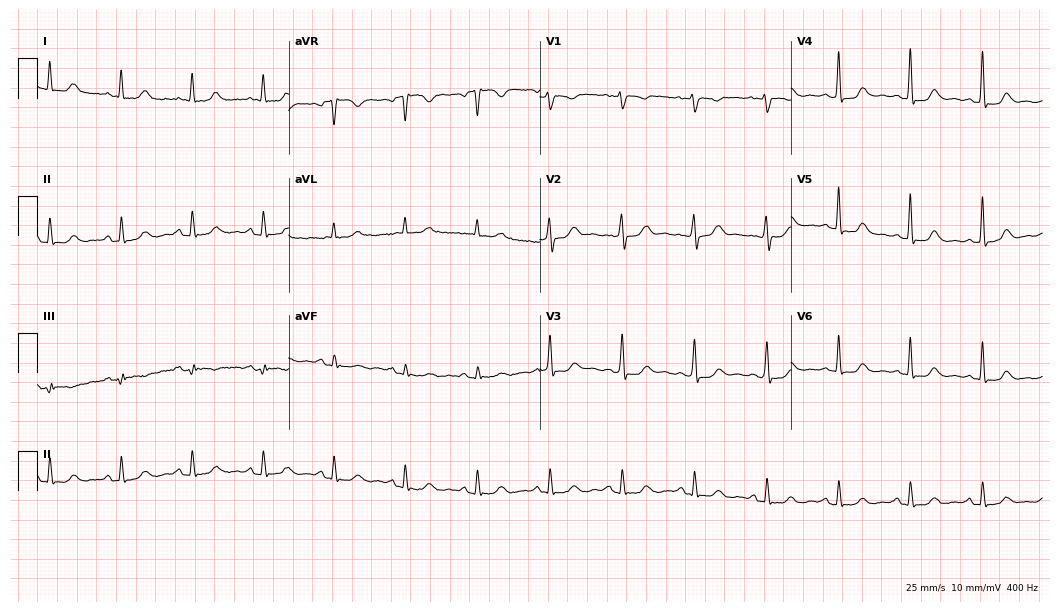
12-lead ECG from a 45-year-old female patient (10.2-second recording at 400 Hz). Recorded interpretation: within normal limits.